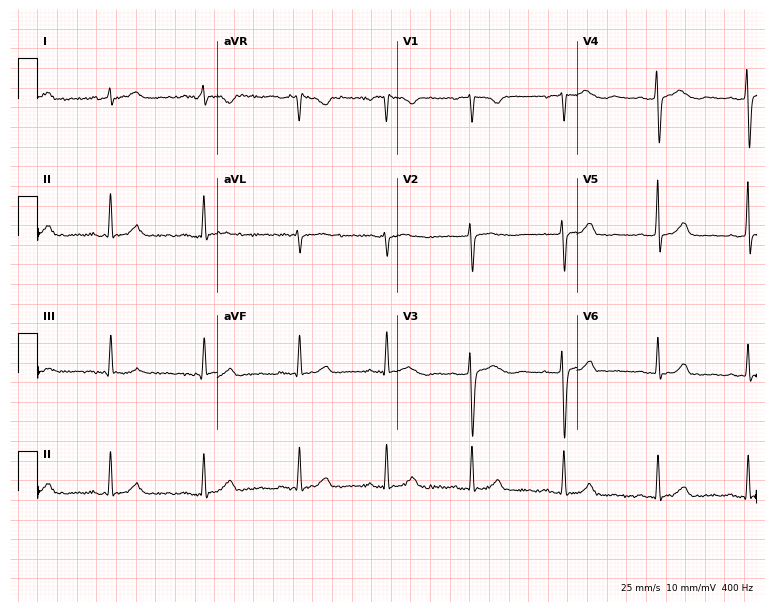
Resting 12-lead electrocardiogram (7.3-second recording at 400 Hz). Patient: a 20-year-old woman. None of these six findings is recorded: first-degree AV block, right bundle branch block, left bundle branch block, sinus bradycardia, atrial fibrillation, sinus tachycardia.